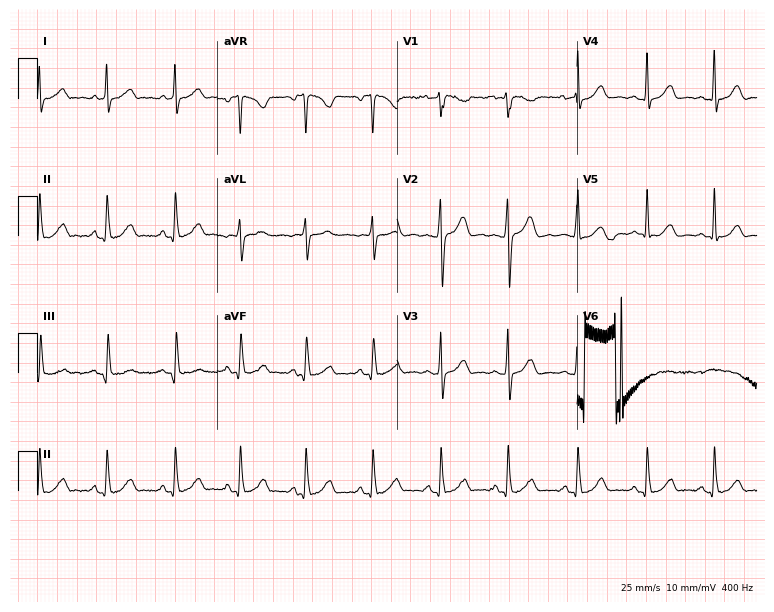
Standard 12-lead ECG recorded from a male, 22 years old (7.3-second recording at 400 Hz). Read as a normal ECG.